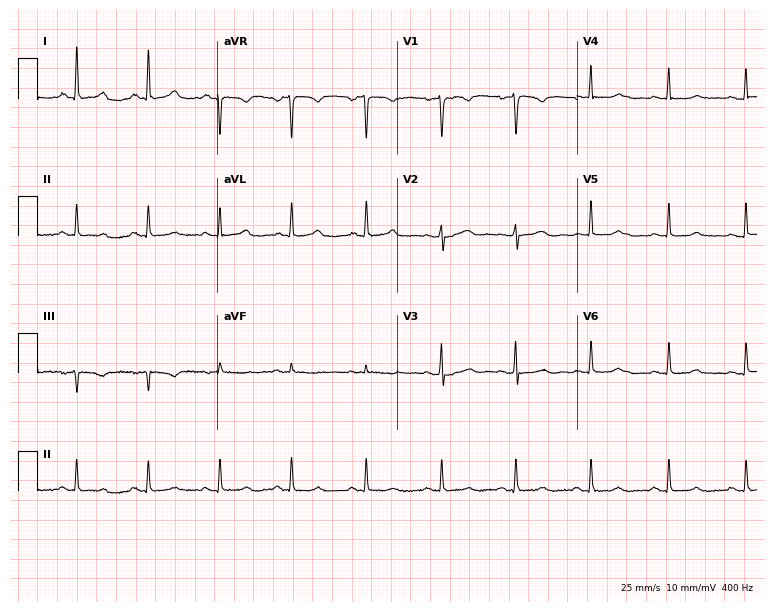
ECG (7.3-second recording at 400 Hz) — a 52-year-old woman. Labelled as a normal ECG.